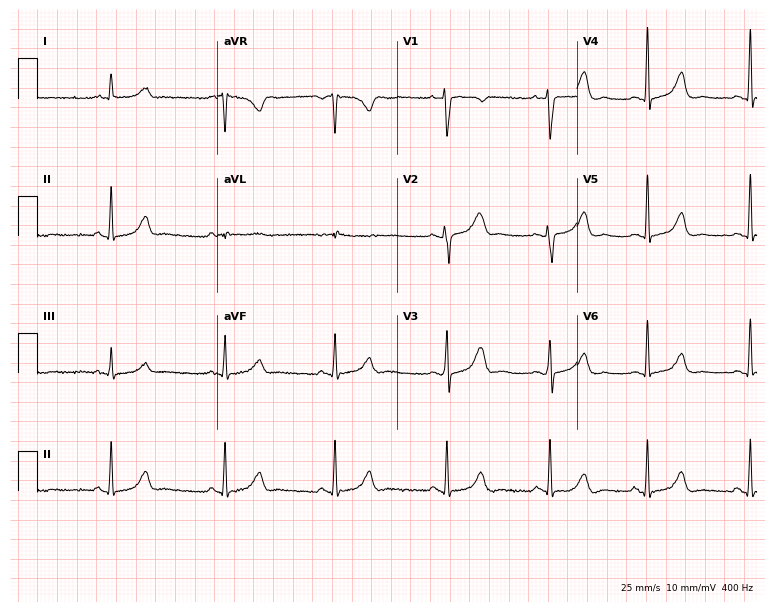
12-lead ECG from a woman, 46 years old. No first-degree AV block, right bundle branch block, left bundle branch block, sinus bradycardia, atrial fibrillation or sinus tachycardia recorded for this tracing.